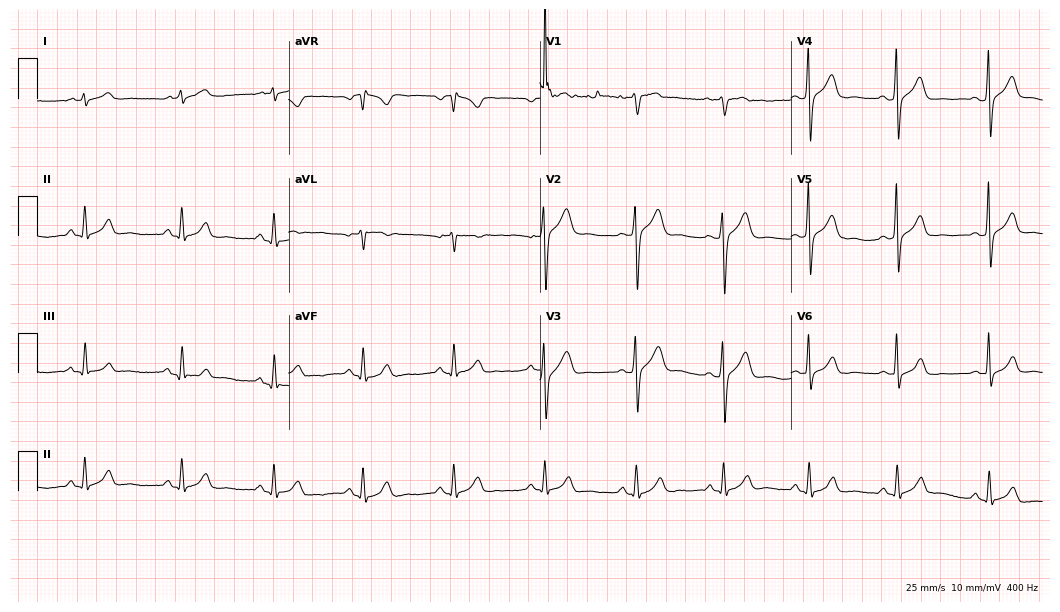
Resting 12-lead electrocardiogram. Patient: a 29-year-old male. Read as a normal ECG.